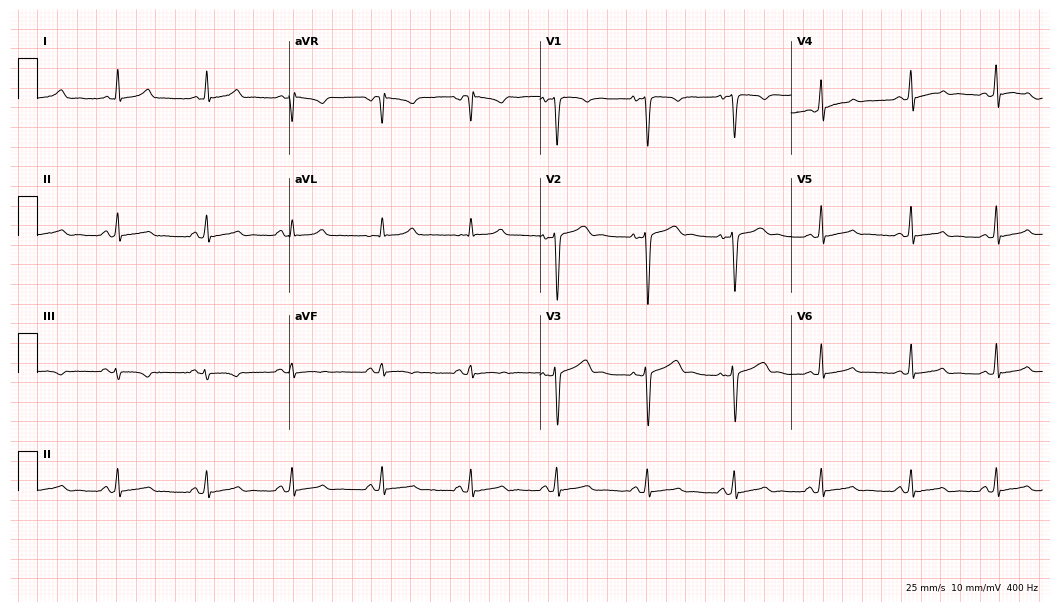
Electrocardiogram (10.2-second recording at 400 Hz), a woman, 27 years old. Overall reading on record: normal ECG.